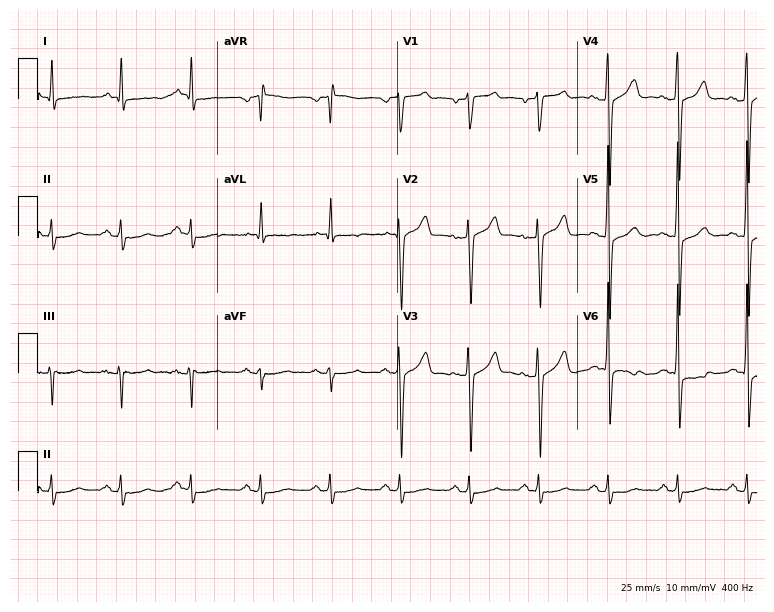
Resting 12-lead electrocardiogram (7.3-second recording at 400 Hz). Patient: a 49-year-old male. None of these six findings is recorded: first-degree AV block, right bundle branch block, left bundle branch block, sinus bradycardia, atrial fibrillation, sinus tachycardia.